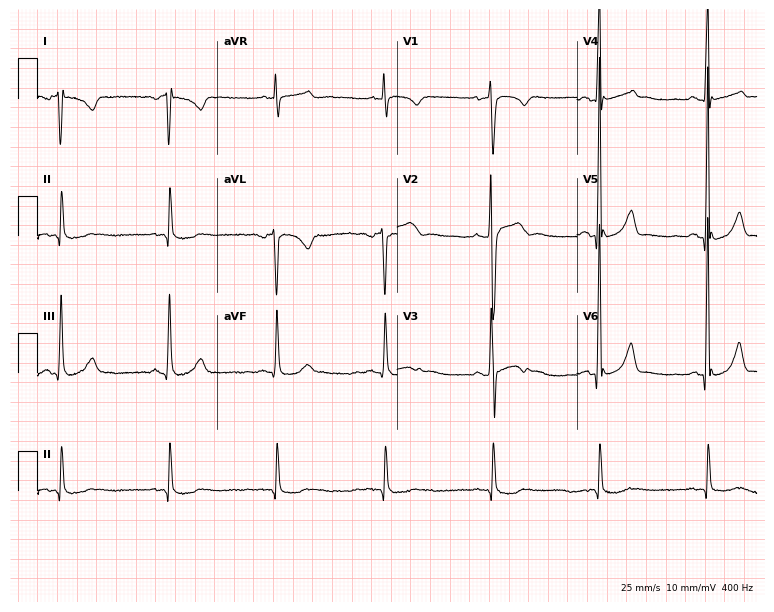
ECG (7.3-second recording at 400 Hz) — a 39-year-old man. Screened for six findings — first-degree AV block, right bundle branch block, left bundle branch block, sinus bradycardia, atrial fibrillation, sinus tachycardia — none is recorded. Other findings, if any, are not listed.